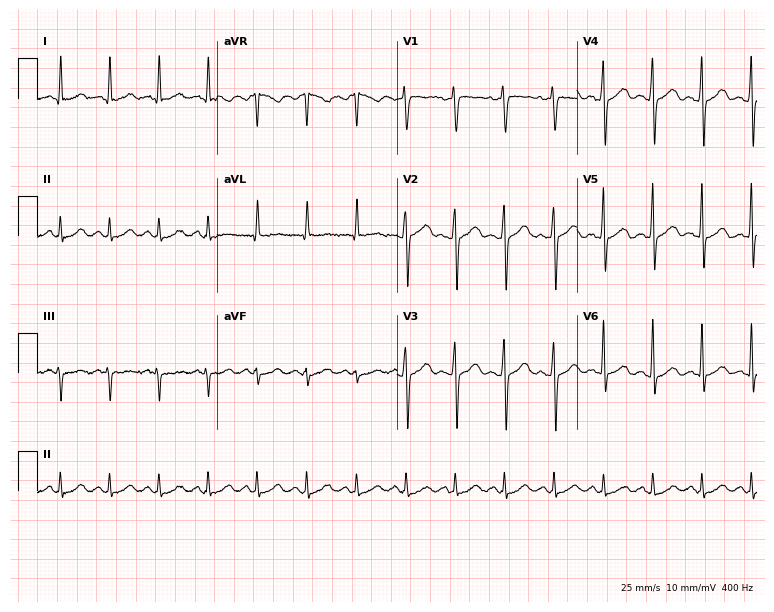
Standard 12-lead ECG recorded from a 56-year-old woman. The tracing shows sinus tachycardia (a sinus rate of 100 beats per minute or more).